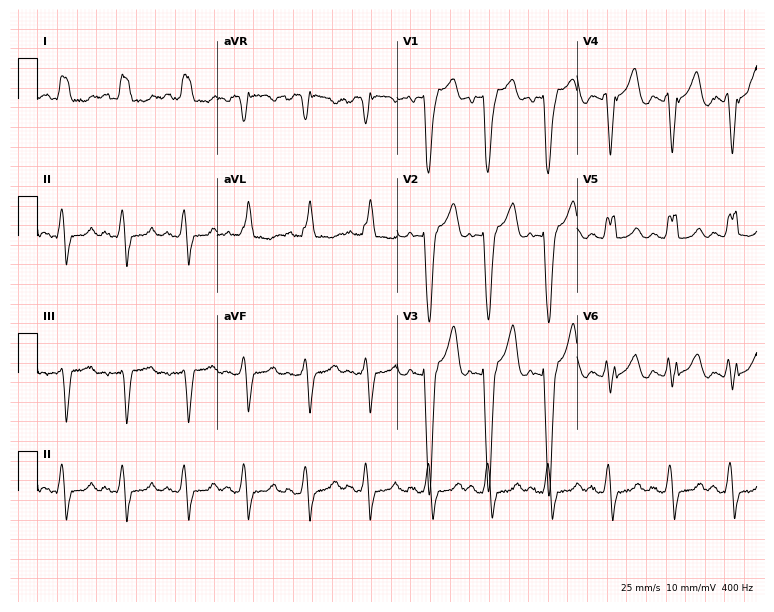
Standard 12-lead ECG recorded from a 48-year-old woman (7.3-second recording at 400 Hz). The tracing shows left bundle branch block (LBBB).